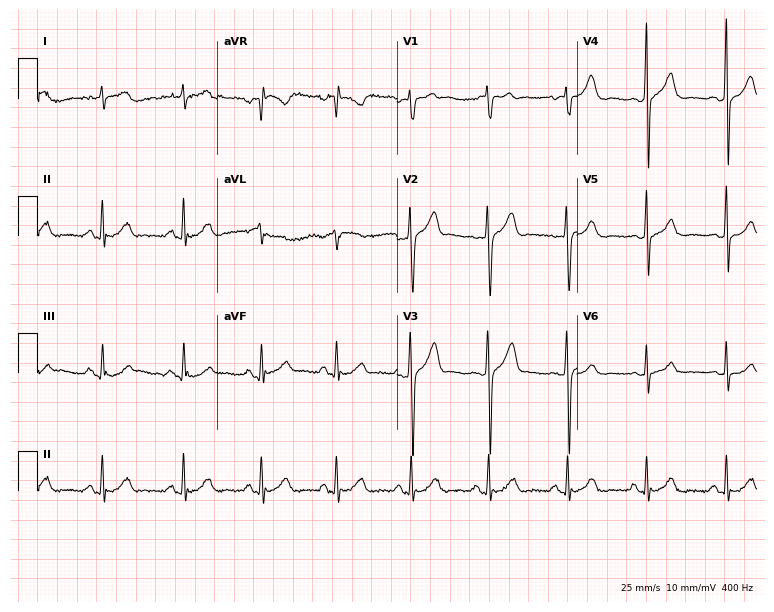
ECG (7.3-second recording at 400 Hz) — a male patient, 34 years old. Labelled as a normal ECG.